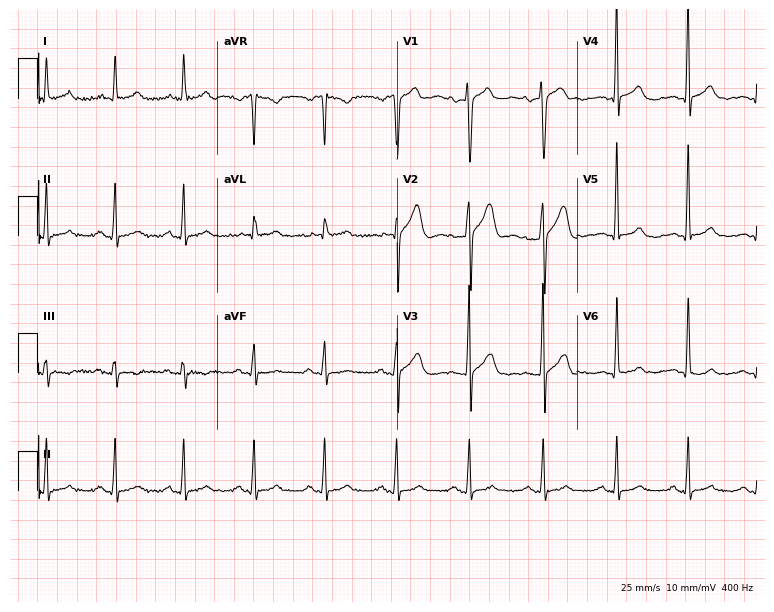
Standard 12-lead ECG recorded from a 59-year-old woman. Read as a normal ECG.